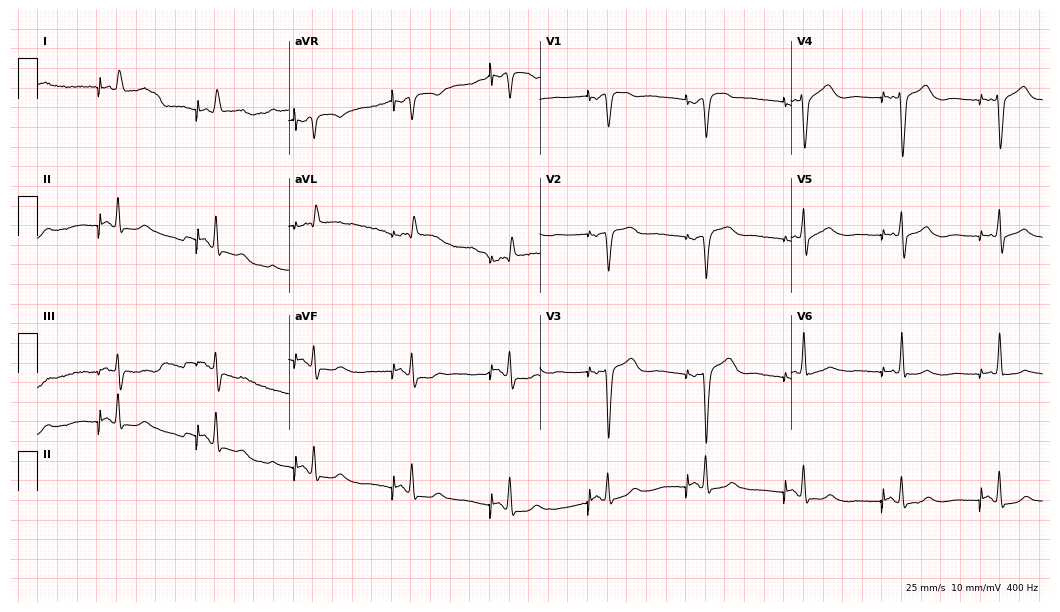
12-lead ECG from a 70-year-old man. Screened for six findings — first-degree AV block, right bundle branch block, left bundle branch block, sinus bradycardia, atrial fibrillation, sinus tachycardia — none is recorded.